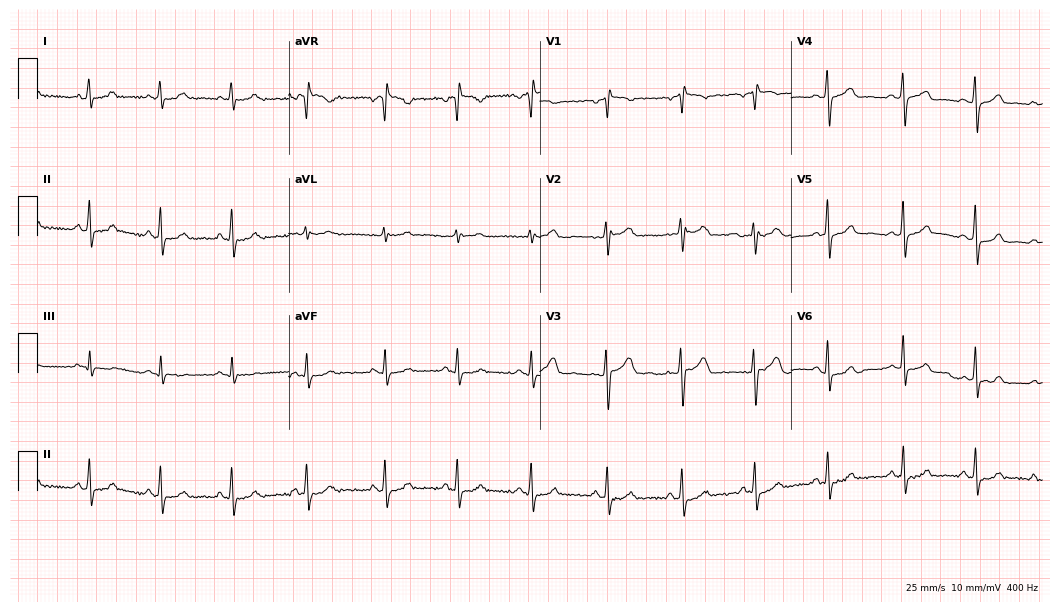
Resting 12-lead electrocardiogram. Patient: a female, 42 years old. None of these six findings is recorded: first-degree AV block, right bundle branch block (RBBB), left bundle branch block (LBBB), sinus bradycardia, atrial fibrillation (AF), sinus tachycardia.